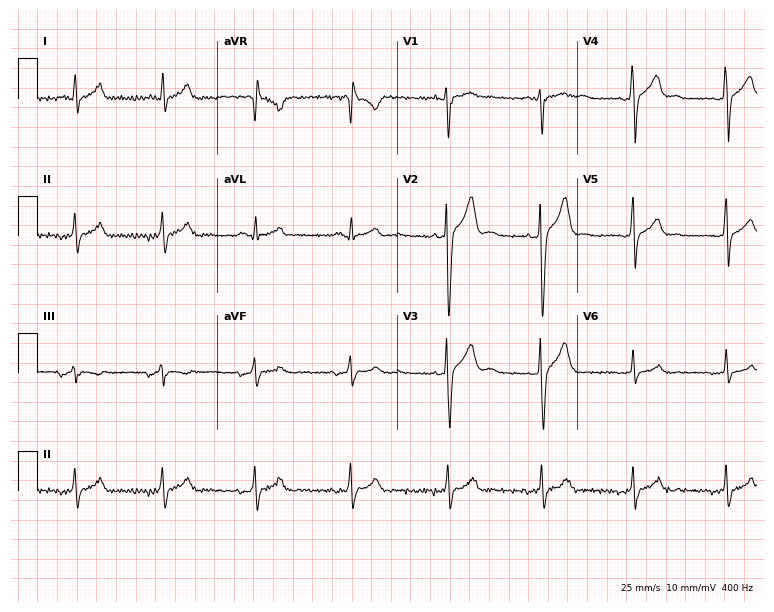
12-lead ECG from a male, 24 years old. Screened for six findings — first-degree AV block, right bundle branch block, left bundle branch block, sinus bradycardia, atrial fibrillation, sinus tachycardia — none is recorded. Other findings, if any, are not listed.